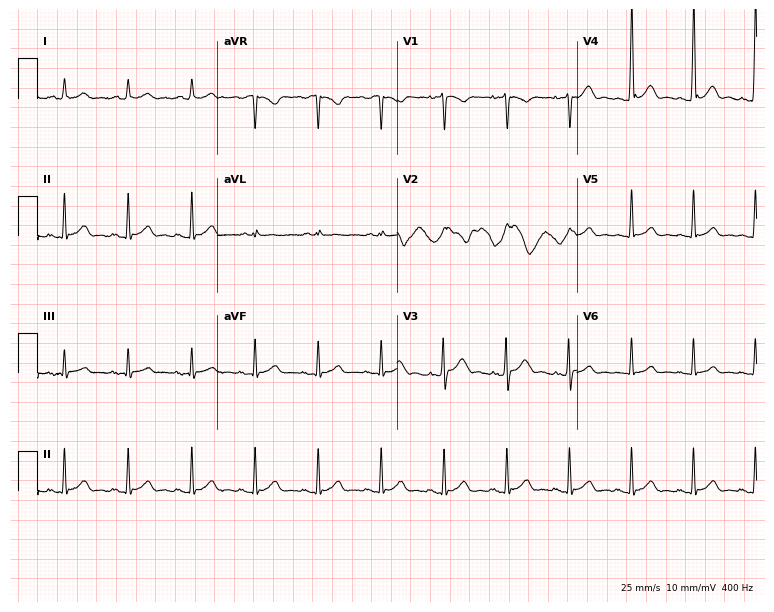
Standard 12-lead ECG recorded from a male, 24 years old. None of these six findings is recorded: first-degree AV block, right bundle branch block (RBBB), left bundle branch block (LBBB), sinus bradycardia, atrial fibrillation (AF), sinus tachycardia.